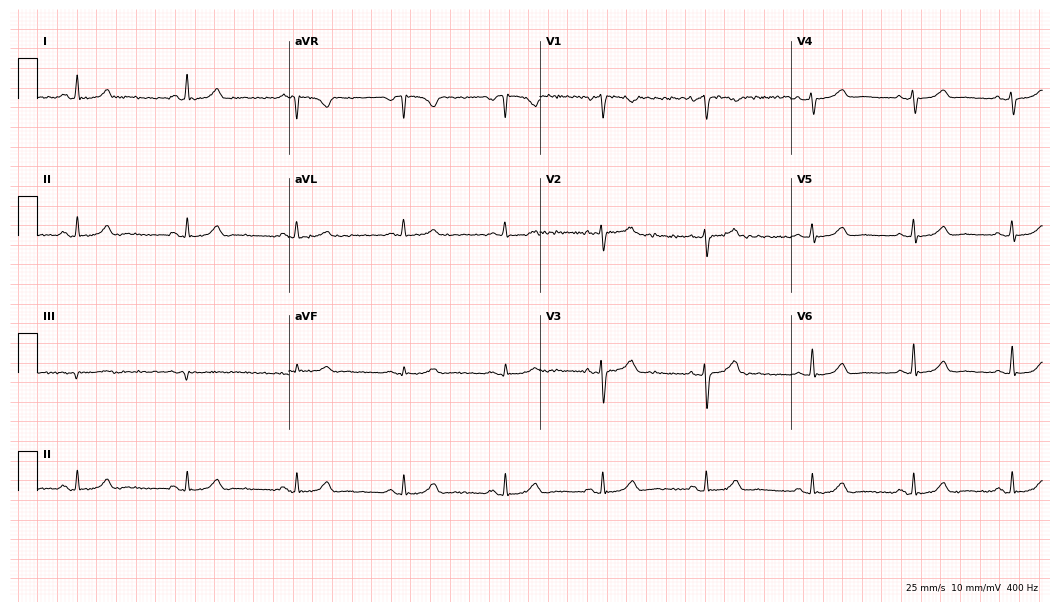
12-lead ECG from a woman, 61 years old (10.2-second recording at 400 Hz). Recorded interpretation: within normal limits.